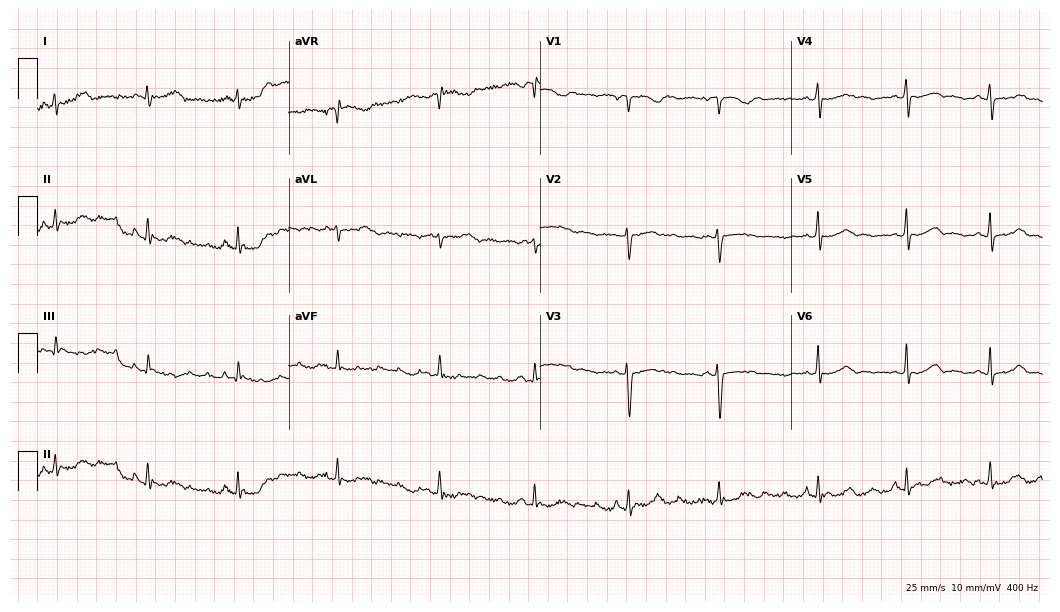
Standard 12-lead ECG recorded from a 20-year-old female patient (10.2-second recording at 400 Hz). Read as a normal ECG.